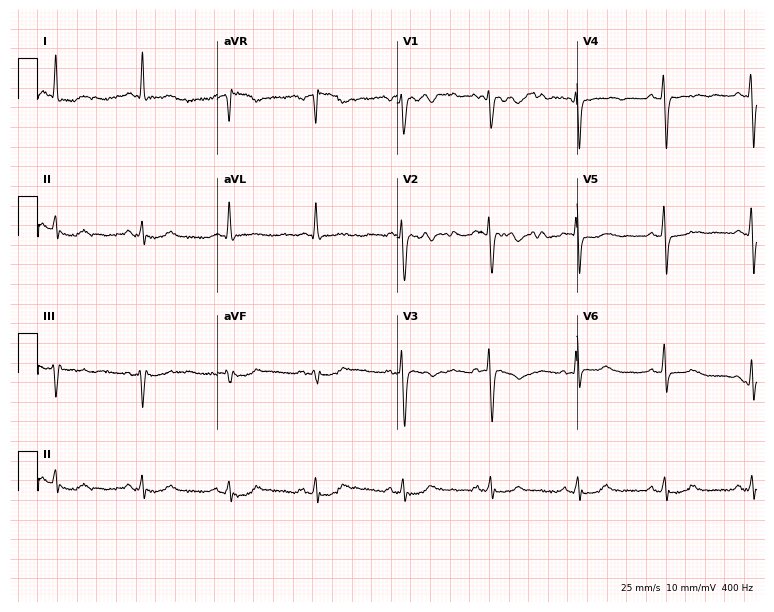
12-lead ECG from a female patient, 77 years old. Labelled as a normal ECG.